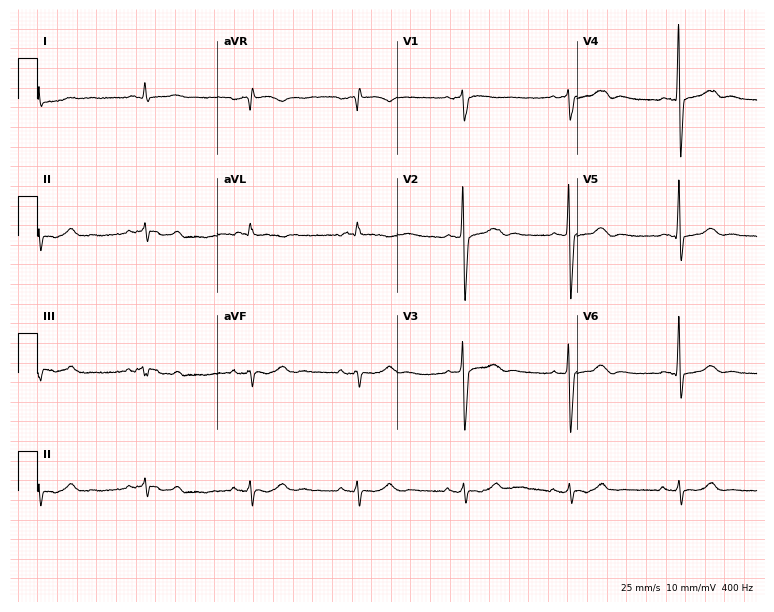
12-lead ECG from an 82-year-old man. No first-degree AV block, right bundle branch block, left bundle branch block, sinus bradycardia, atrial fibrillation or sinus tachycardia recorded for this tracing. Findings outside these six are not listed.